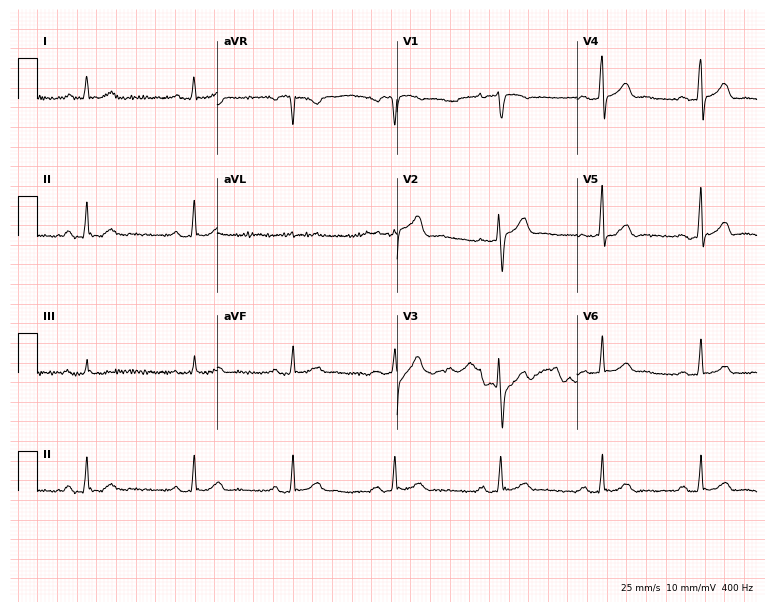
Resting 12-lead electrocardiogram. Patient: a 45-year-old female. Read as a normal ECG.